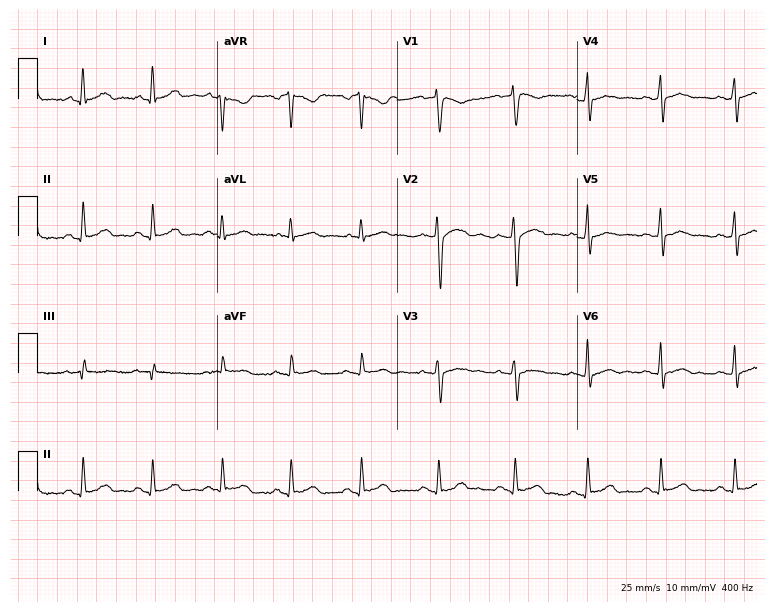
Electrocardiogram, a male, 31 years old. Overall reading on record: normal ECG.